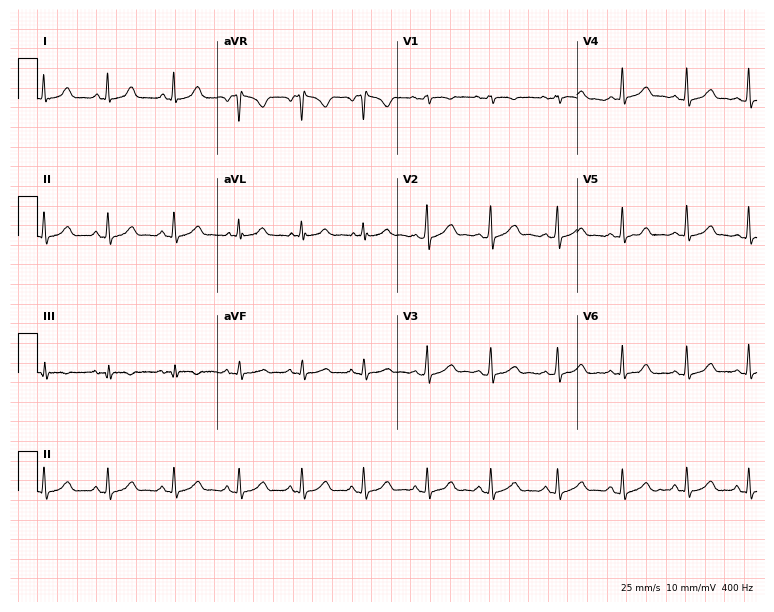
Electrocardiogram, a 29-year-old woman. Of the six screened findings (first-degree AV block, right bundle branch block (RBBB), left bundle branch block (LBBB), sinus bradycardia, atrial fibrillation (AF), sinus tachycardia), none is recorded.